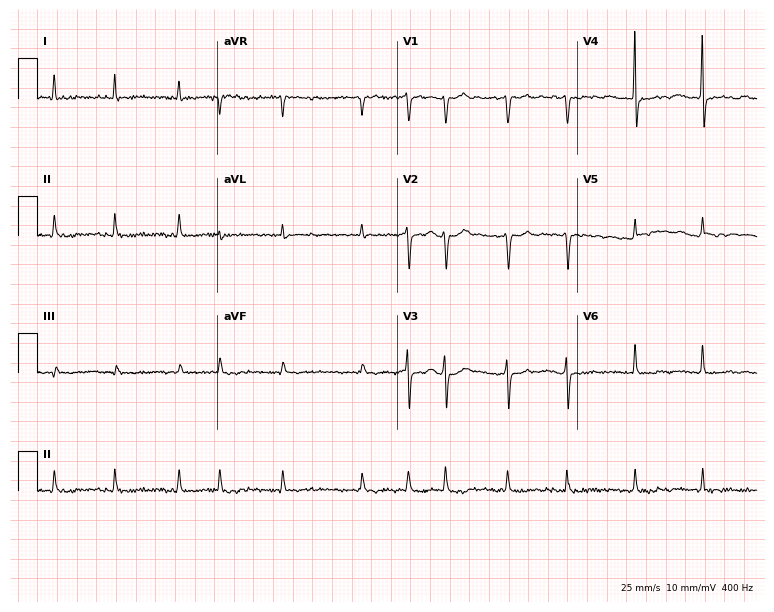
12-lead ECG (7.3-second recording at 400 Hz) from an 85-year-old woman. Findings include atrial fibrillation.